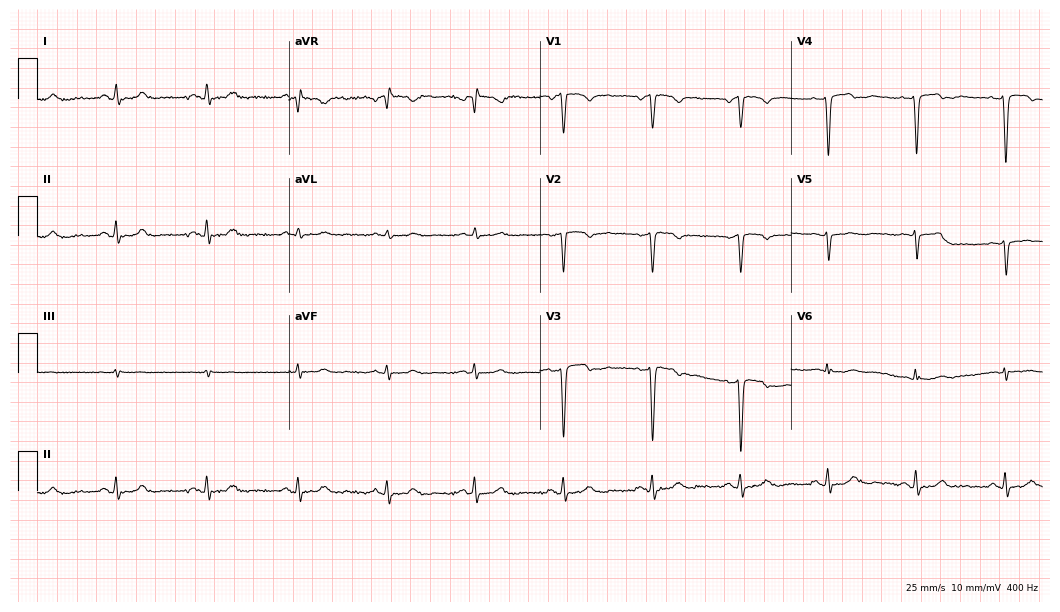
ECG (10.2-second recording at 400 Hz) — a man, 81 years old. Screened for six findings — first-degree AV block, right bundle branch block, left bundle branch block, sinus bradycardia, atrial fibrillation, sinus tachycardia — none is recorded. Only these six findings were labelled.